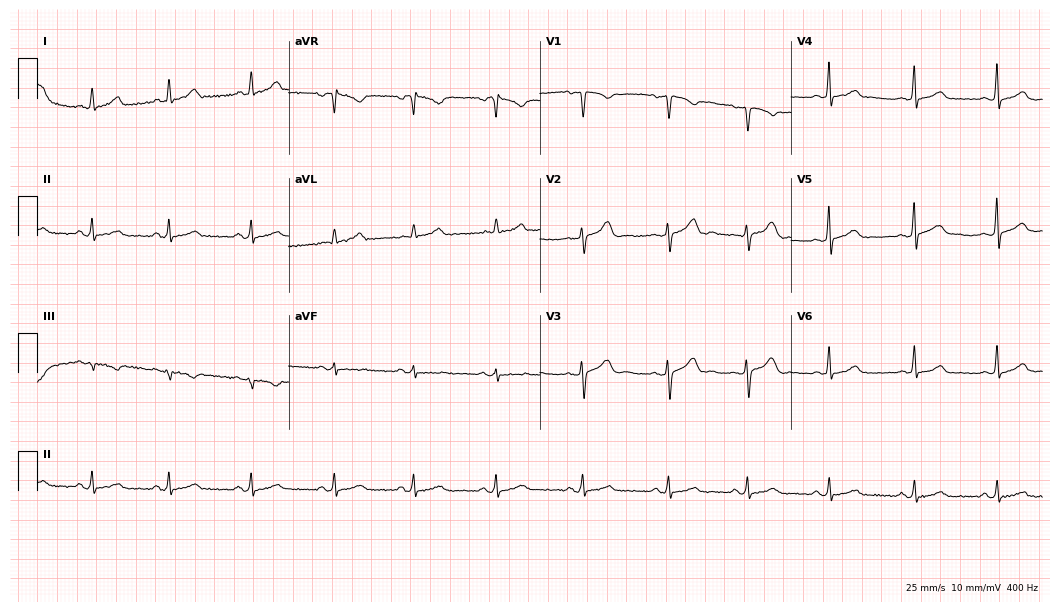
12-lead ECG from a 44-year-old female patient. Labelled as a normal ECG.